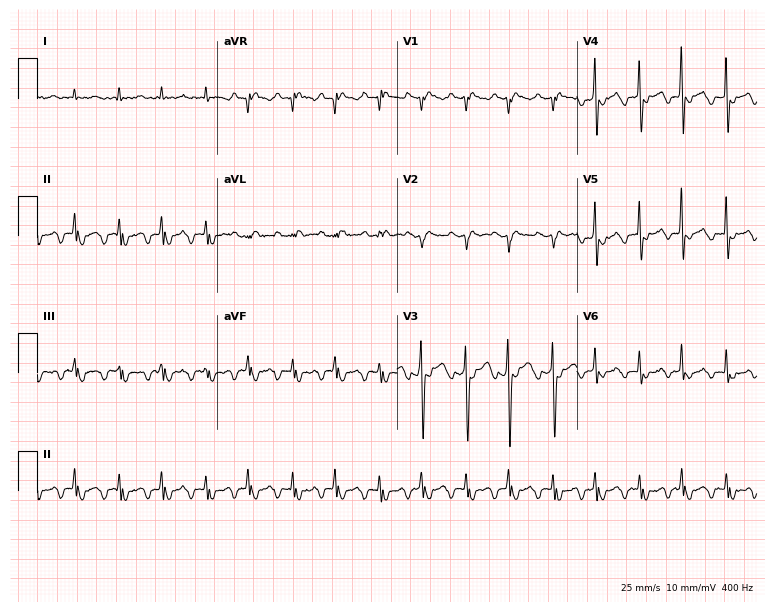
Resting 12-lead electrocardiogram (7.3-second recording at 400 Hz). Patient: a male, 72 years old. The tracing shows sinus tachycardia (a sinus rate of 100 beats per minute or more).